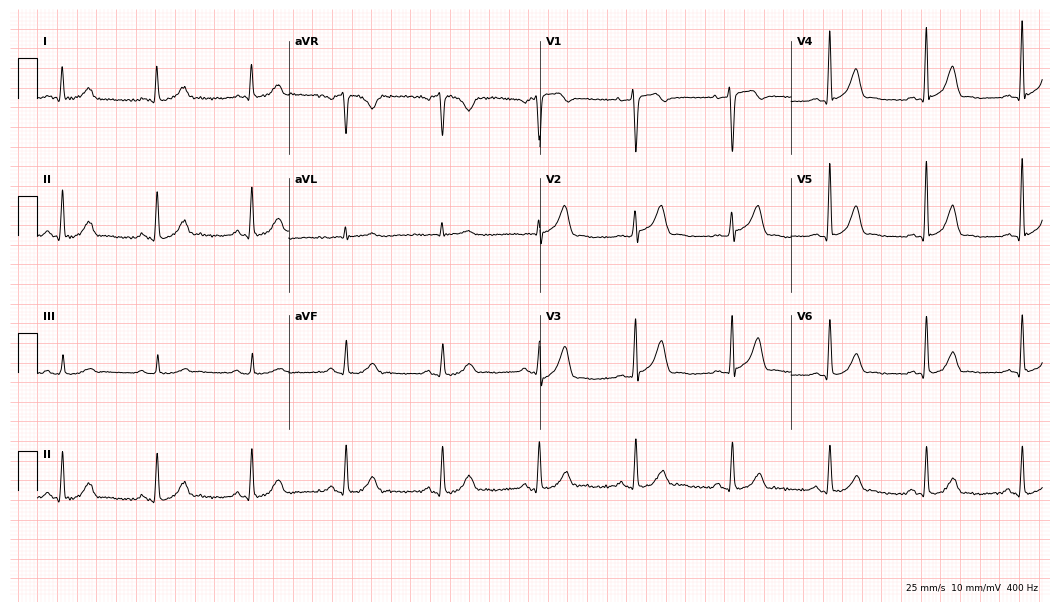
12-lead ECG from a man, 74 years old. Recorded interpretation: within normal limits.